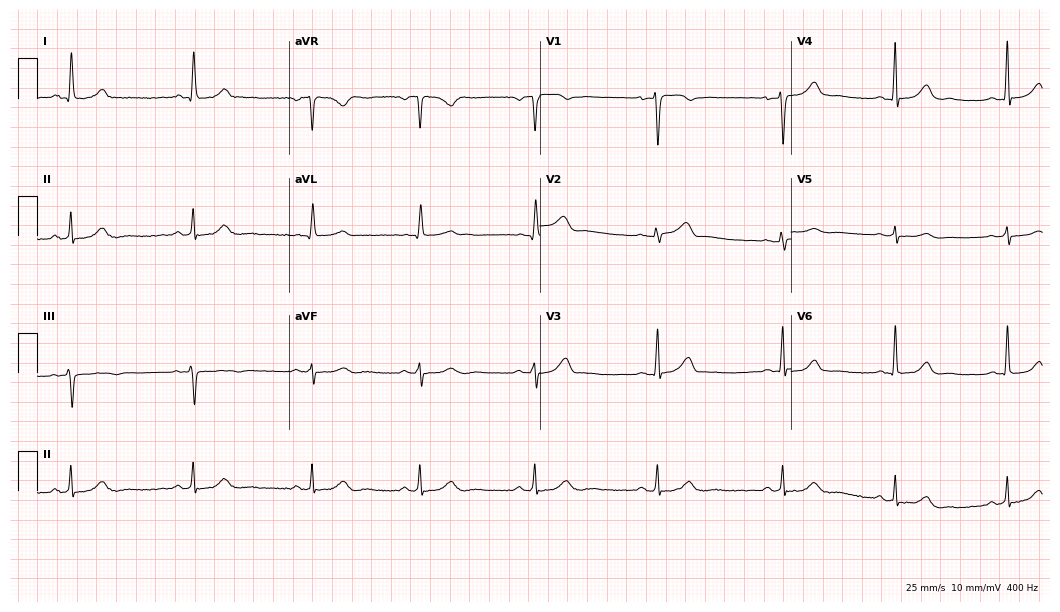
Standard 12-lead ECG recorded from a 54-year-old female patient (10.2-second recording at 400 Hz). The tracing shows sinus bradycardia (a sinus rate of 50 beats per minute or less).